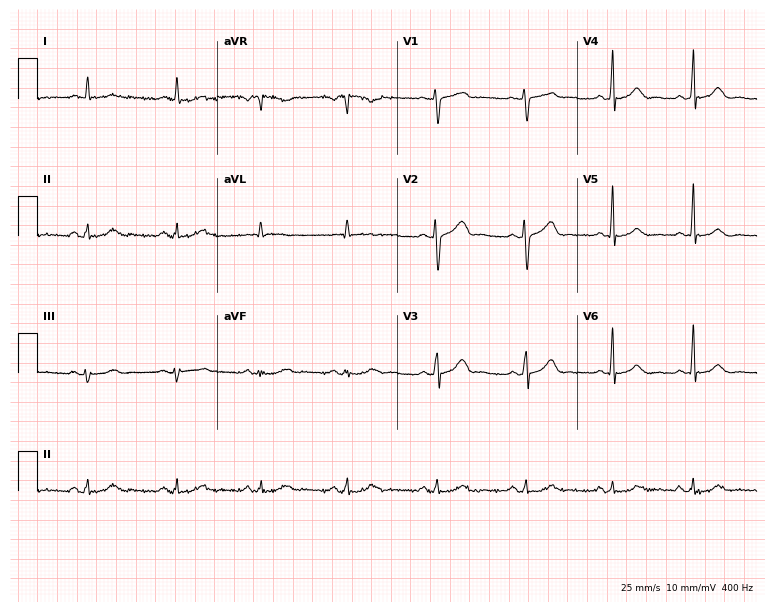
12-lead ECG from a female, 33 years old. No first-degree AV block, right bundle branch block, left bundle branch block, sinus bradycardia, atrial fibrillation or sinus tachycardia recorded for this tracing.